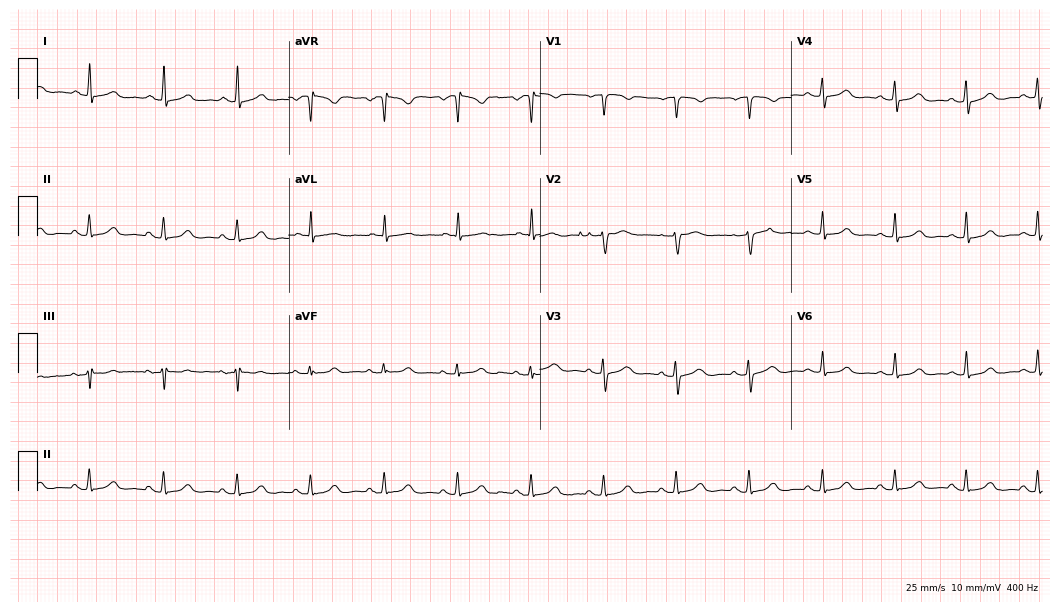
Standard 12-lead ECG recorded from a female patient, 64 years old (10.2-second recording at 400 Hz). Read as a normal ECG.